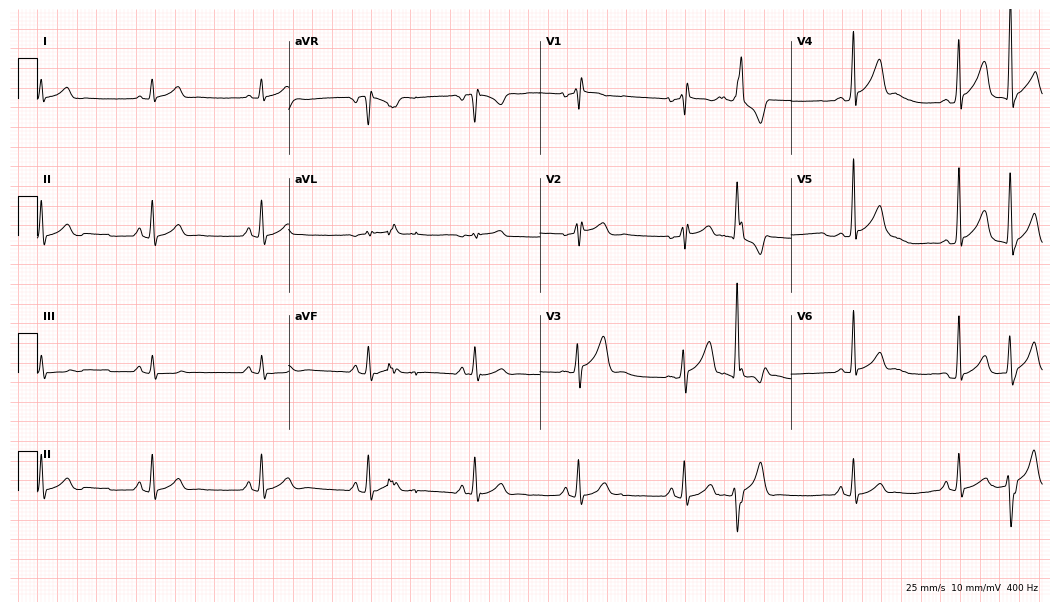
ECG (10.2-second recording at 400 Hz) — a male patient, 41 years old. Screened for six findings — first-degree AV block, right bundle branch block, left bundle branch block, sinus bradycardia, atrial fibrillation, sinus tachycardia — none is recorded.